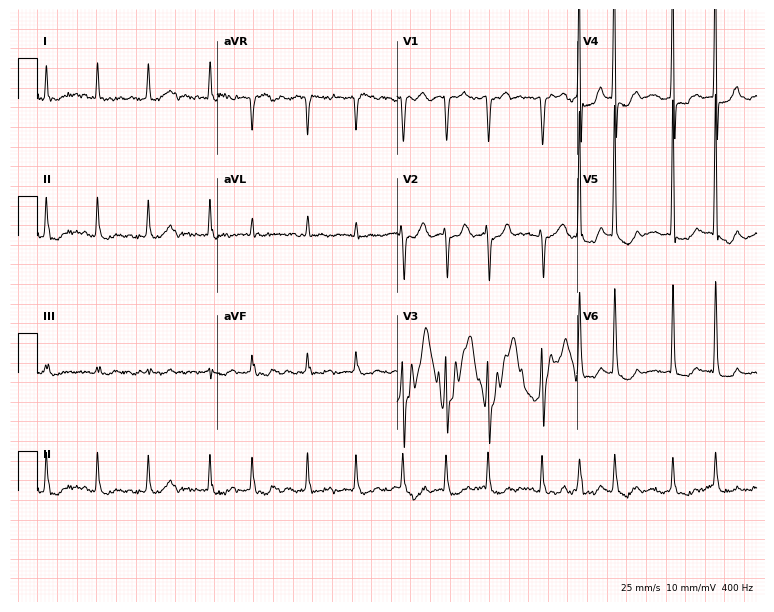
ECG — a female patient, 81 years old. Findings include atrial fibrillation (AF).